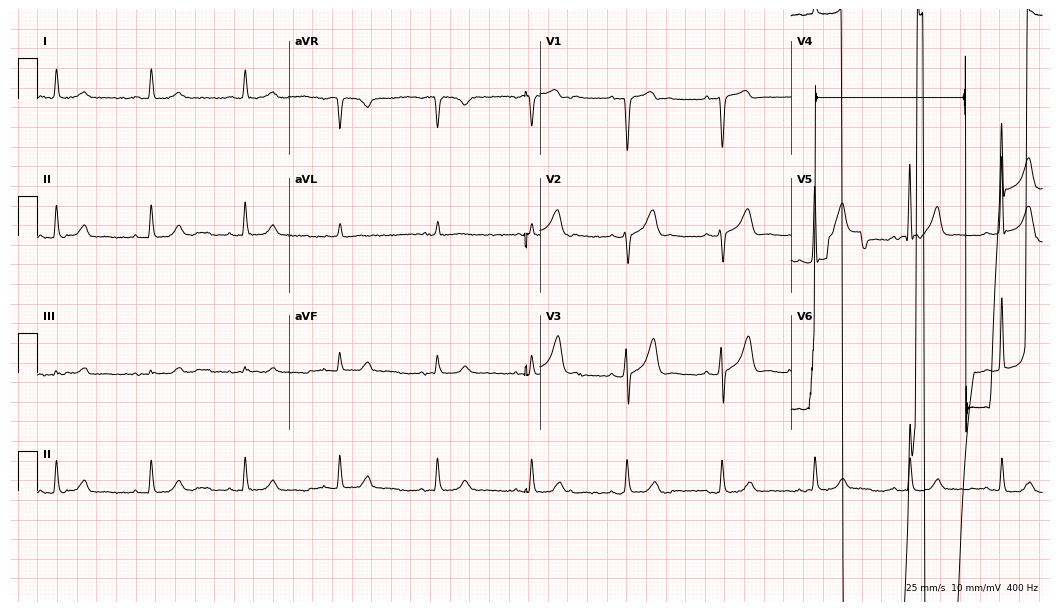
Resting 12-lead electrocardiogram (10.2-second recording at 400 Hz). Patient: an 80-year-old man. None of these six findings is recorded: first-degree AV block, right bundle branch block (RBBB), left bundle branch block (LBBB), sinus bradycardia, atrial fibrillation (AF), sinus tachycardia.